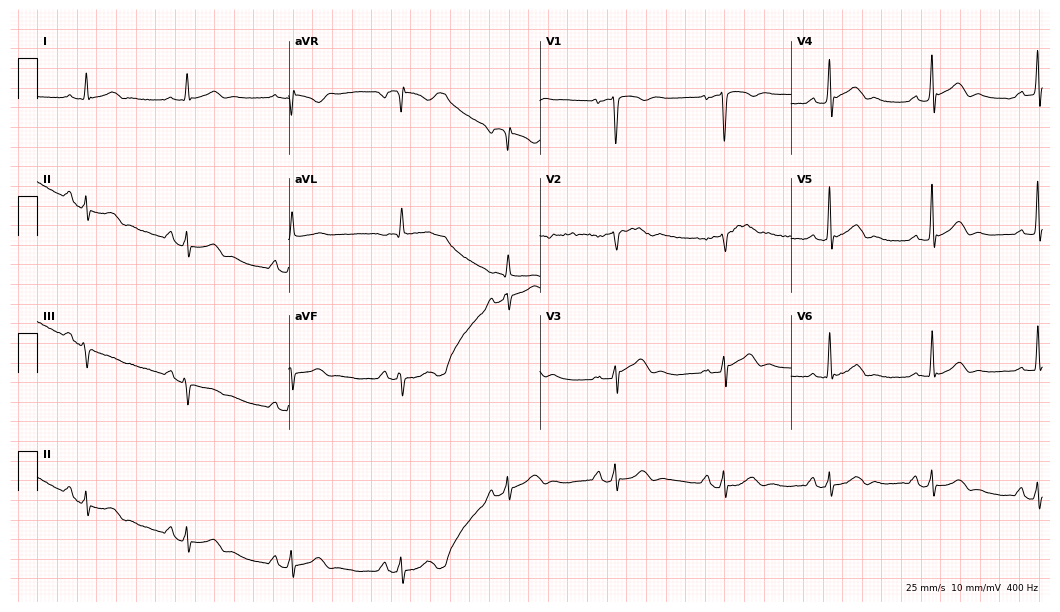
Resting 12-lead electrocardiogram (10.2-second recording at 400 Hz). Patient: a male, 73 years old. None of these six findings is recorded: first-degree AV block, right bundle branch block (RBBB), left bundle branch block (LBBB), sinus bradycardia, atrial fibrillation (AF), sinus tachycardia.